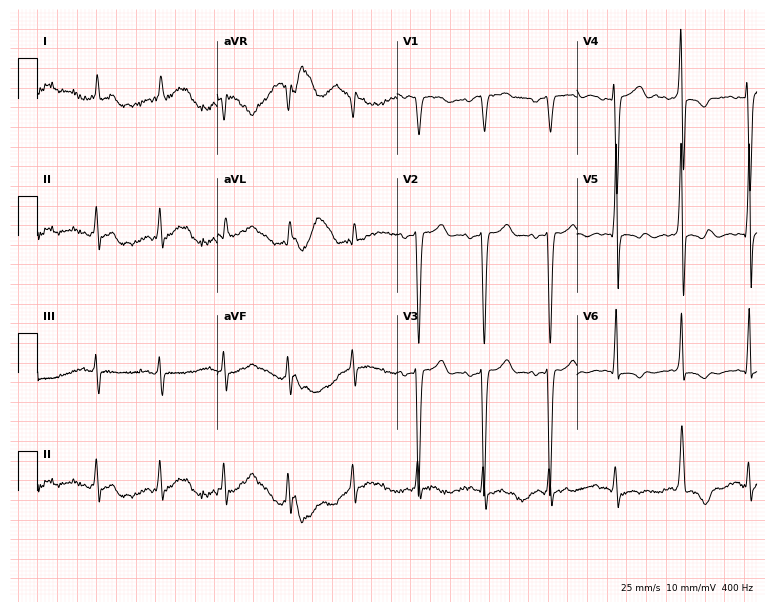
ECG — a male patient, 81 years old. Screened for six findings — first-degree AV block, right bundle branch block, left bundle branch block, sinus bradycardia, atrial fibrillation, sinus tachycardia — none is recorded.